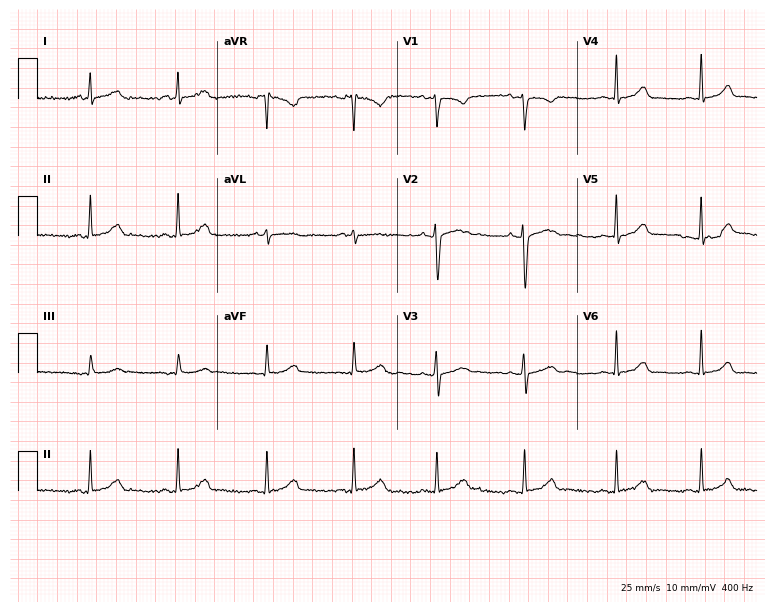
ECG — a female patient, 22 years old. Screened for six findings — first-degree AV block, right bundle branch block, left bundle branch block, sinus bradycardia, atrial fibrillation, sinus tachycardia — none is recorded.